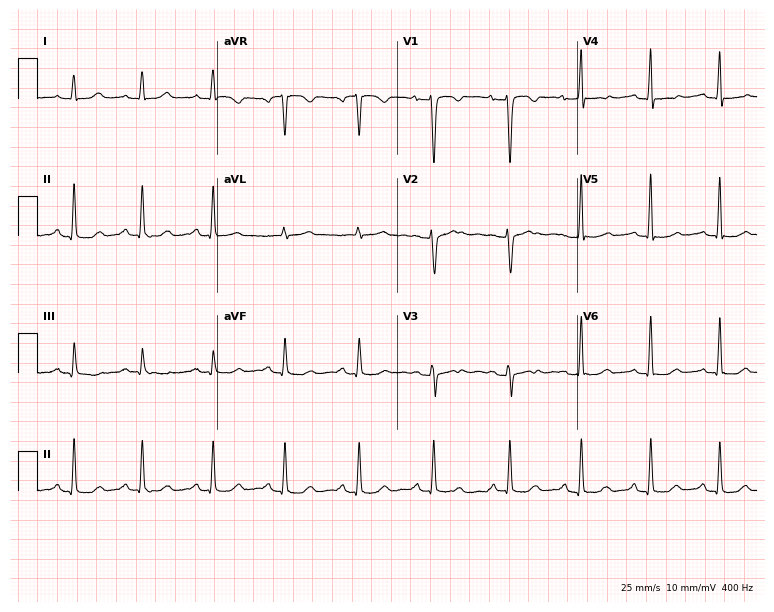
Electrocardiogram, a female patient, 47 years old. Of the six screened findings (first-degree AV block, right bundle branch block, left bundle branch block, sinus bradycardia, atrial fibrillation, sinus tachycardia), none is recorded. Other findings, if any, are not listed.